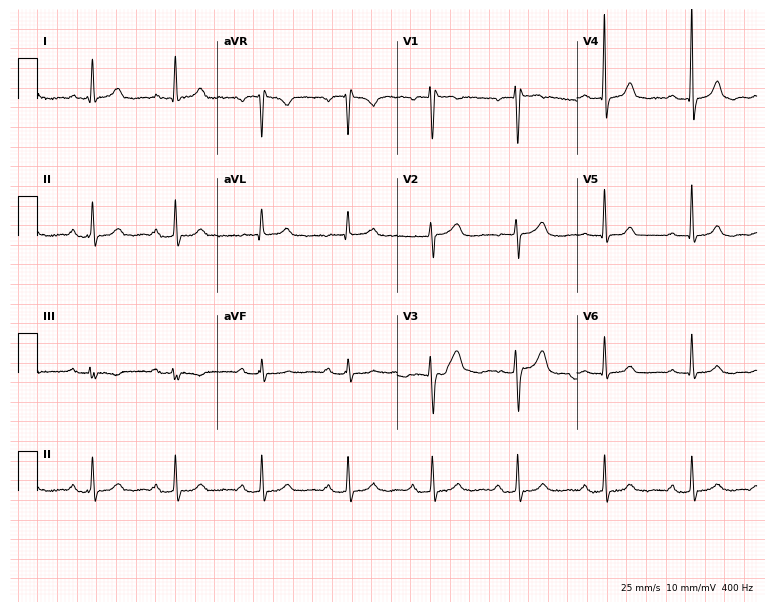
12-lead ECG from a woman, 60 years old. Labelled as a normal ECG.